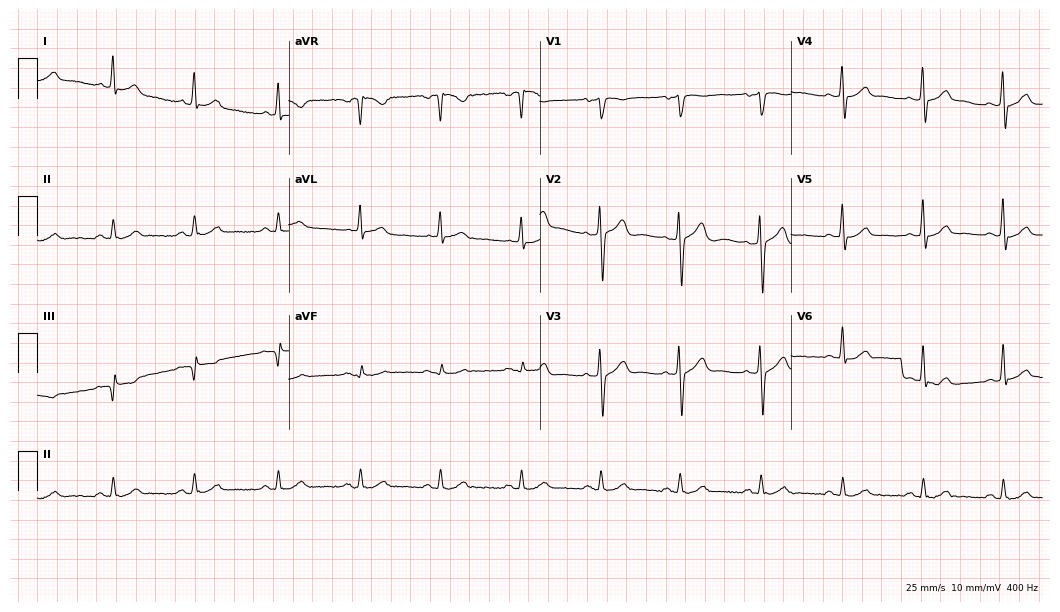
12-lead ECG from a 47-year-old man (10.2-second recording at 400 Hz). Recorded interpretation: within normal limits.